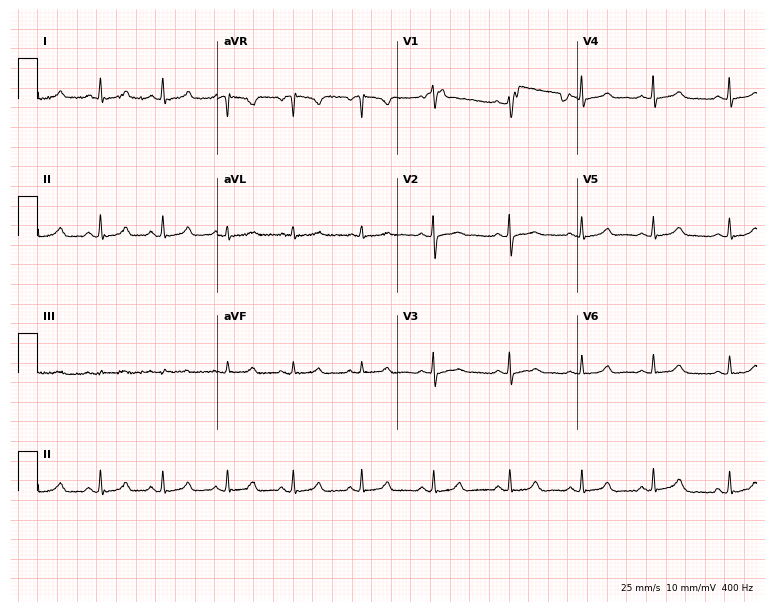
ECG — a female, 23 years old. Labelled as a normal ECG.